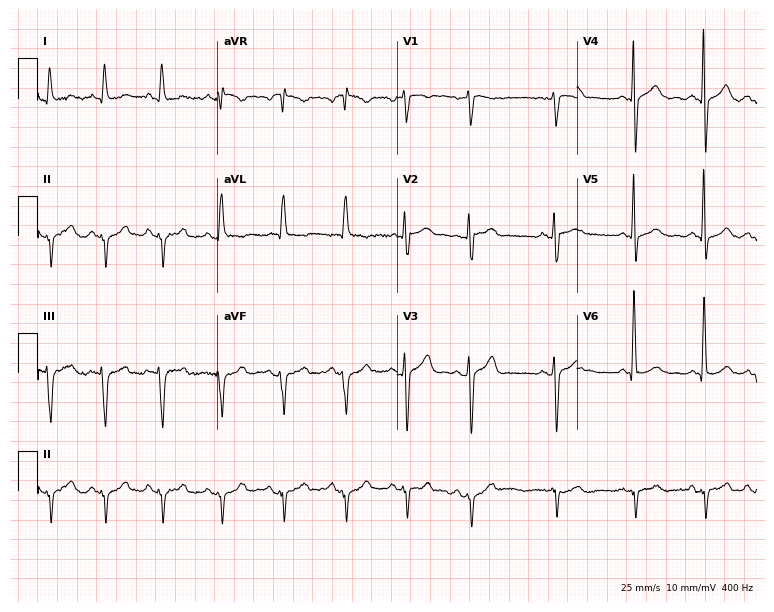
Electrocardiogram, a 36-year-old male patient. Of the six screened findings (first-degree AV block, right bundle branch block, left bundle branch block, sinus bradycardia, atrial fibrillation, sinus tachycardia), none is recorded. Other findings, if any, are not listed.